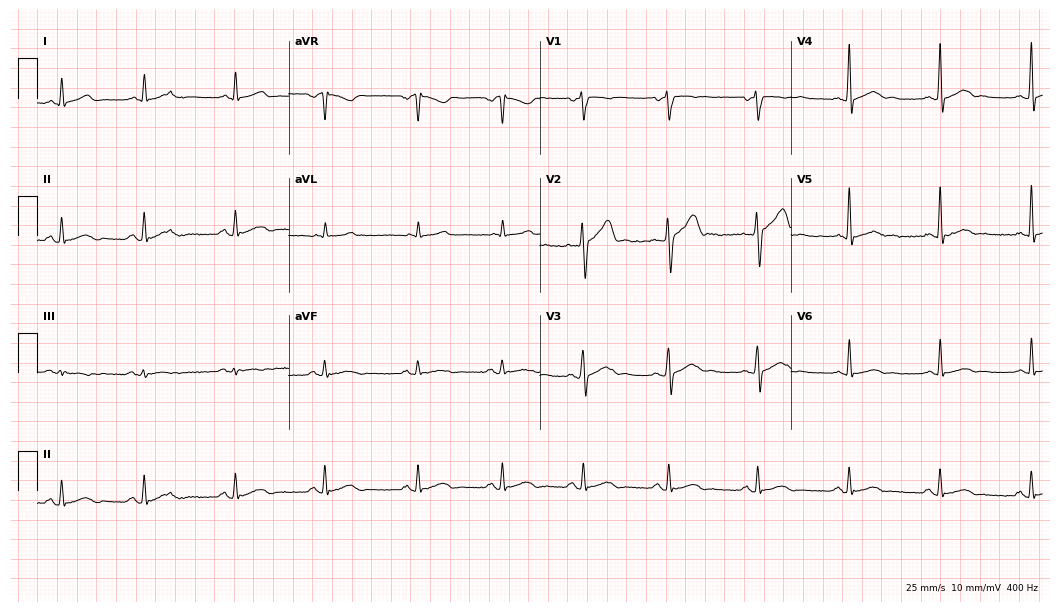
12-lead ECG from a 44-year-old man. Recorded interpretation: within normal limits.